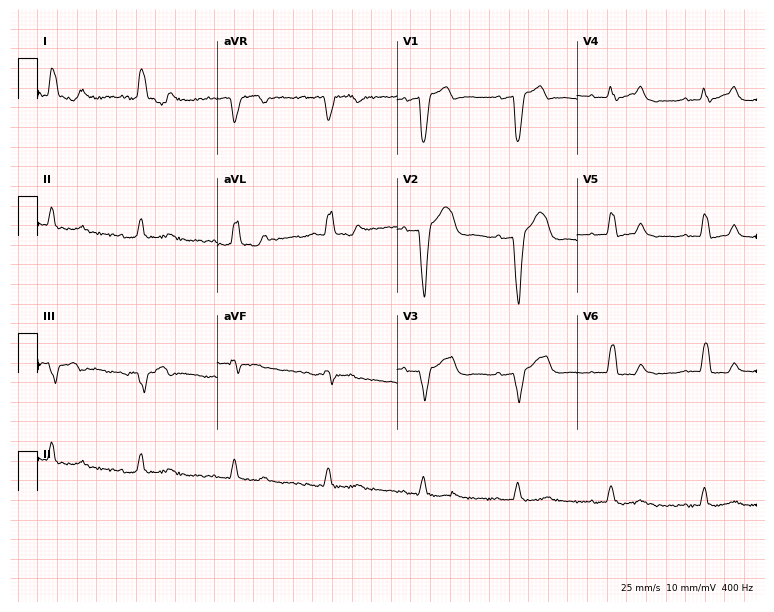
Resting 12-lead electrocardiogram. Patient: an 80-year-old man. The tracing shows left bundle branch block (LBBB).